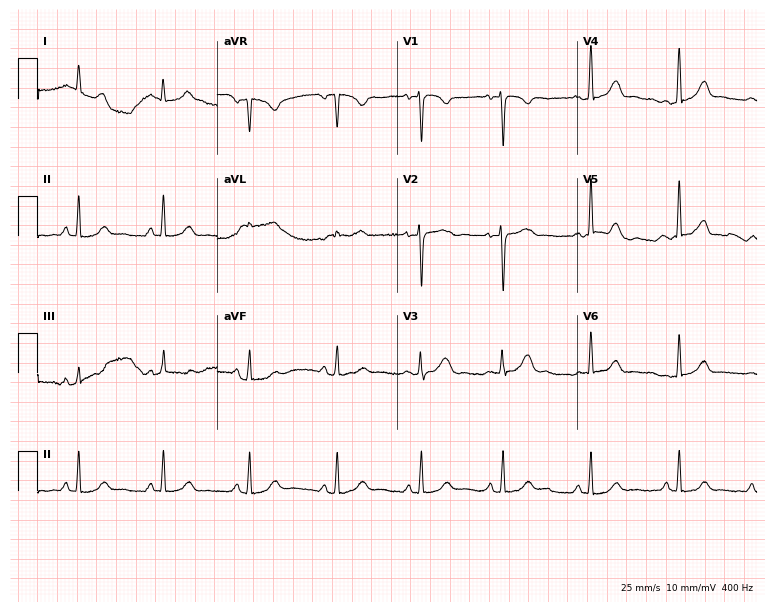
Standard 12-lead ECG recorded from a 35-year-old female. None of these six findings is recorded: first-degree AV block, right bundle branch block, left bundle branch block, sinus bradycardia, atrial fibrillation, sinus tachycardia.